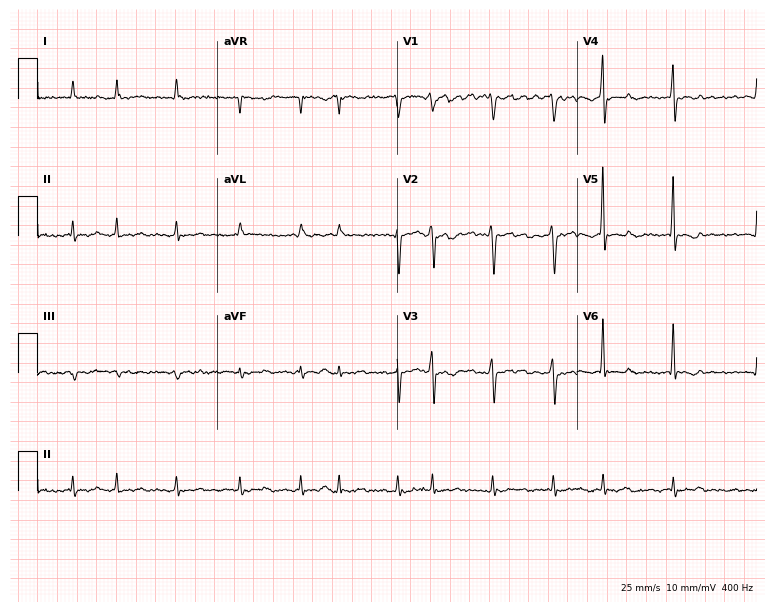
ECG — a 52-year-old male patient. Findings include atrial fibrillation (AF).